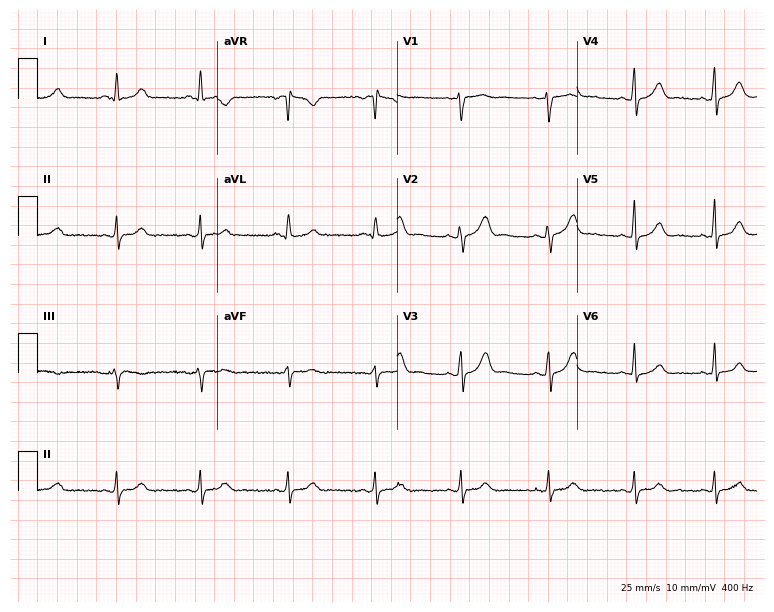
Resting 12-lead electrocardiogram (7.3-second recording at 400 Hz). Patient: a 38-year-old woman. None of these six findings is recorded: first-degree AV block, right bundle branch block (RBBB), left bundle branch block (LBBB), sinus bradycardia, atrial fibrillation (AF), sinus tachycardia.